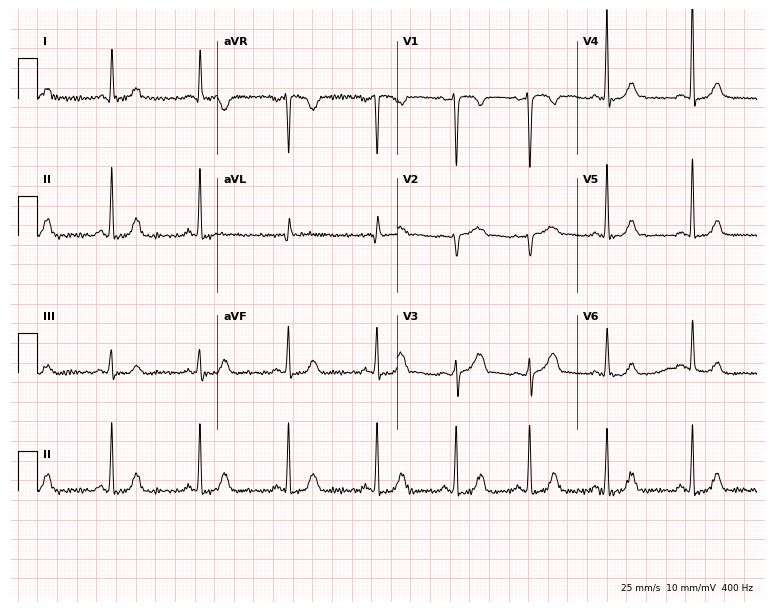
12-lead ECG from a 41-year-old woman. Recorded interpretation: within normal limits.